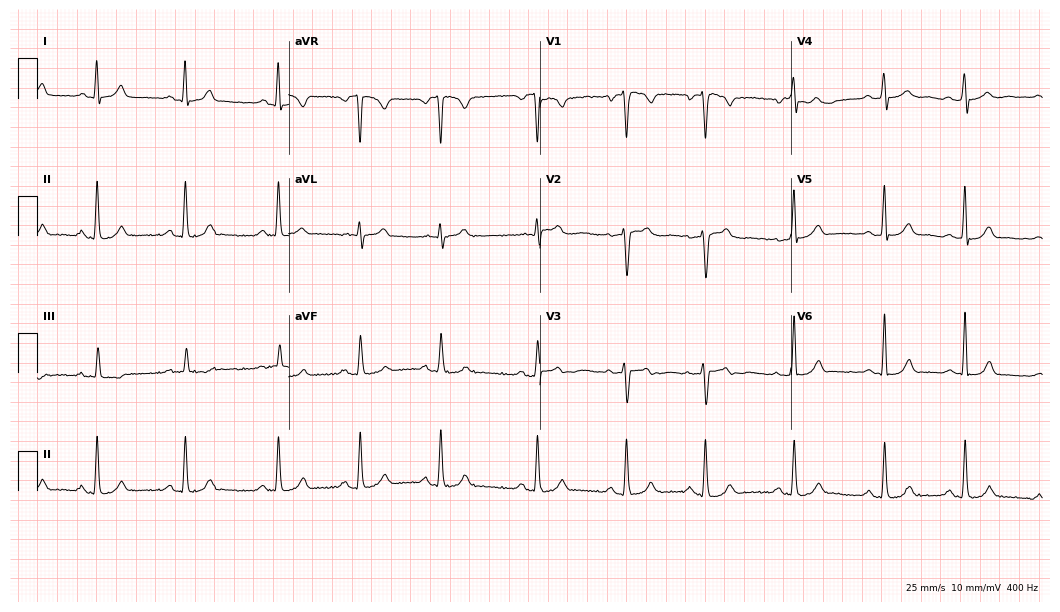
12-lead ECG from a woman, 18 years old (10.2-second recording at 400 Hz). Recorded interpretation: within normal limits.